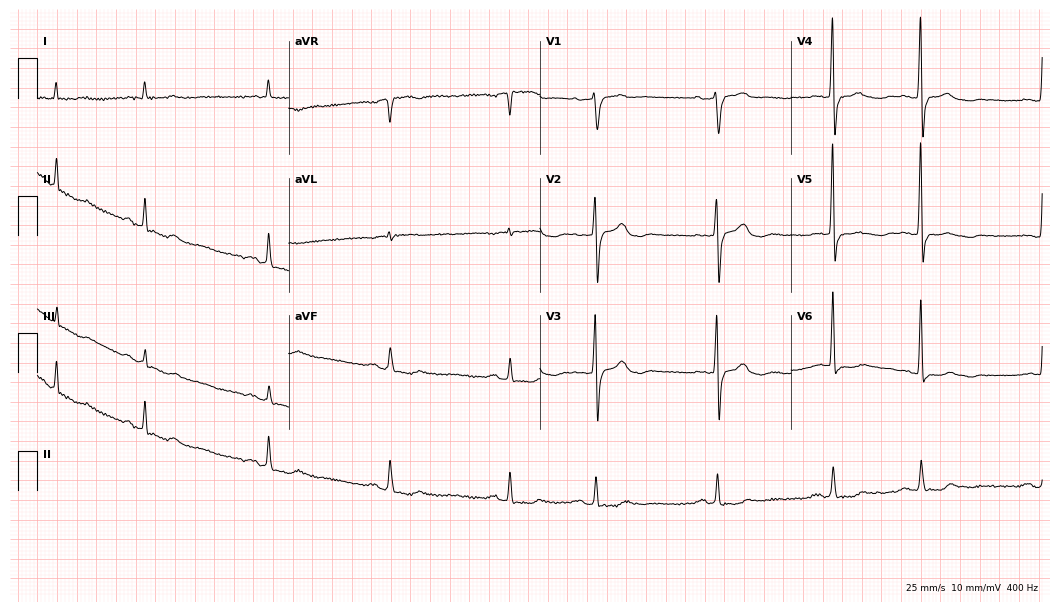
Resting 12-lead electrocardiogram (10.2-second recording at 400 Hz). Patient: a 76-year-old man. None of these six findings is recorded: first-degree AV block, right bundle branch block (RBBB), left bundle branch block (LBBB), sinus bradycardia, atrial fibrillation (AF), sinus tachycardia.